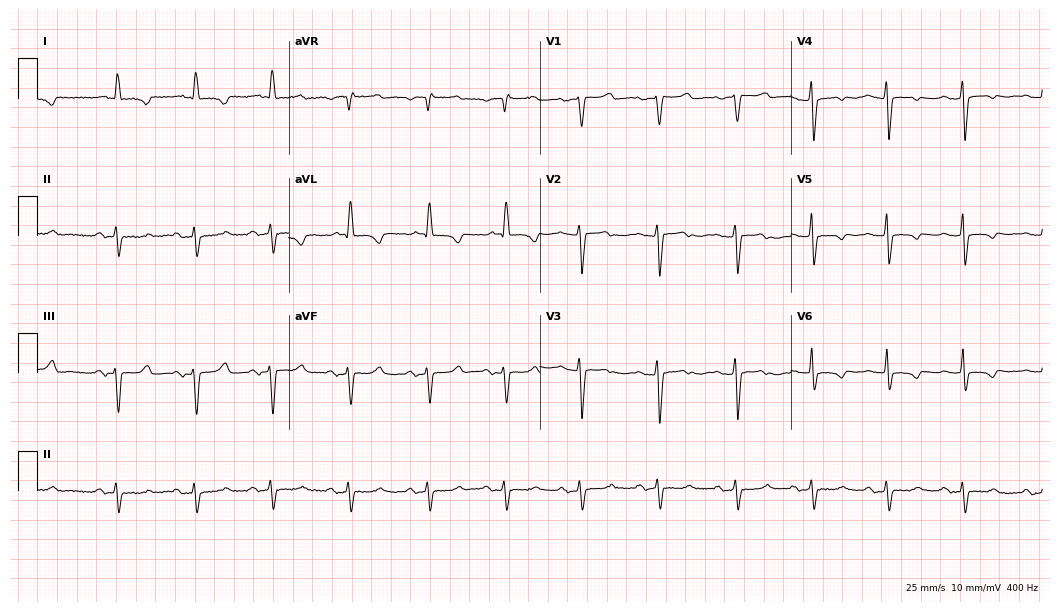
12-lead ECG from a 69-year-old woman (10.2-second recording at 400 Hz). No first-degree AV block, right bundle branch block, left bundle branch block, sinus bradycardia, atrial fibrillation or sinus tachycardia recorded for this tracing. Findings outside these six are not listed.